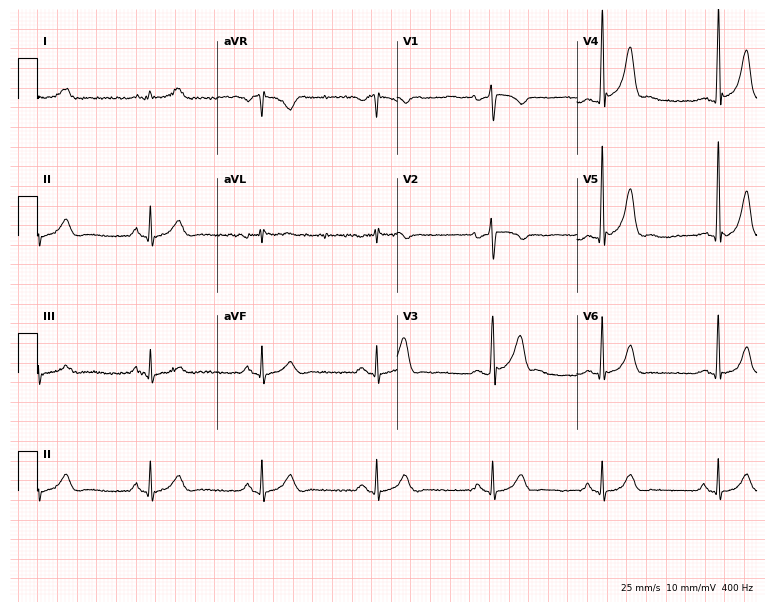
Resting 12-lead electrocardiogram (7.3-second recording at 400 Hz). Patient: a 52-year-old male. None of these six findings is recorded: first-degree AV block, right bundle branch block, left bundle branch block, sinus bradycardia, atrial fibrillation, sinus tachycardia. Only these six findings were labelled.